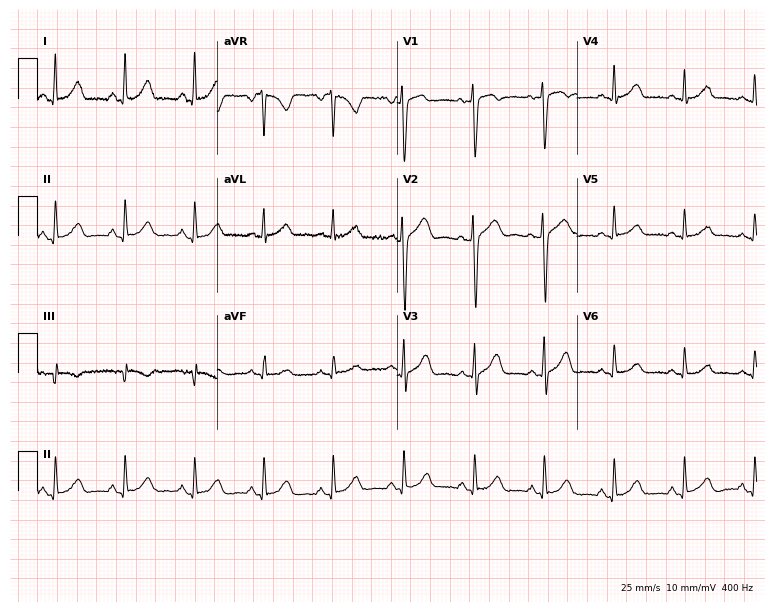
Standard 12-lead ECG recorded from a 37-year-old female patient (7.3-second recording at 400 Hz). Read as a normal ECG.